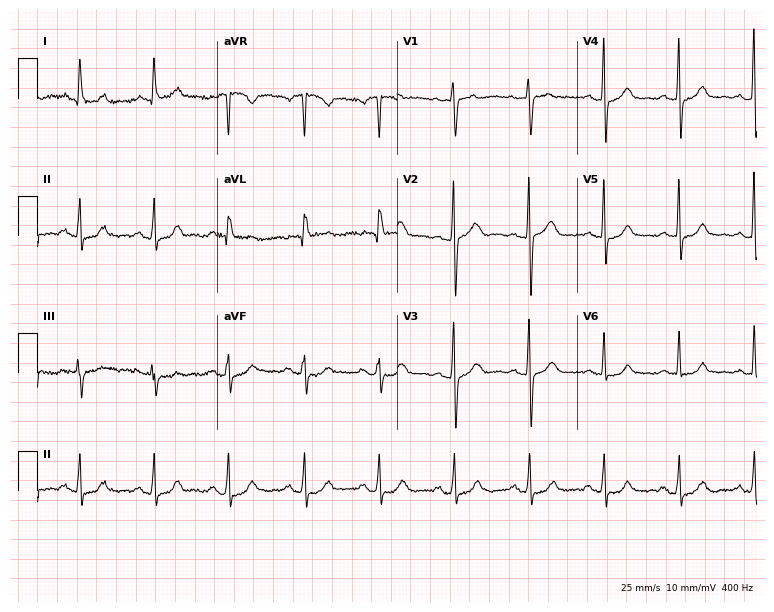
12-lead ECG (7.3-second recording at 400 Hz) from a female, 74 years old. Labelled as a normal ECG.